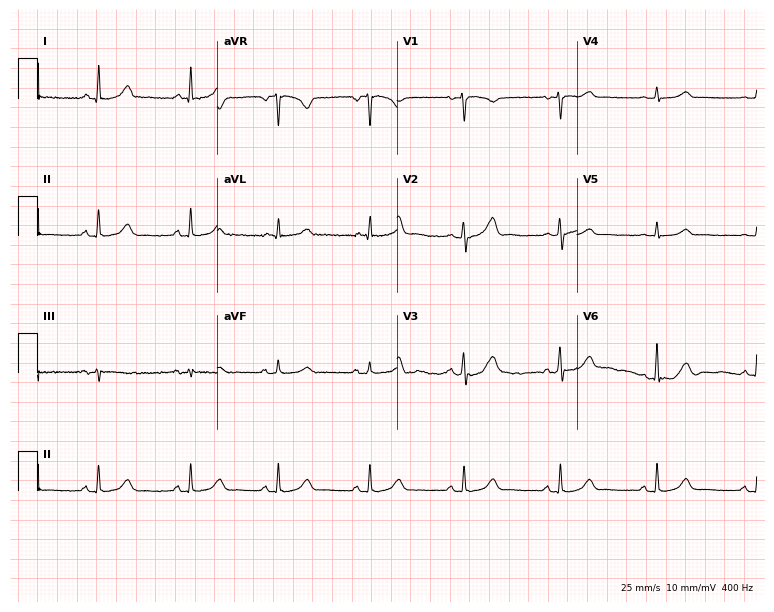
Electrocardiogram, a 55-year-old woman. Overall reading on record: normal ECG.